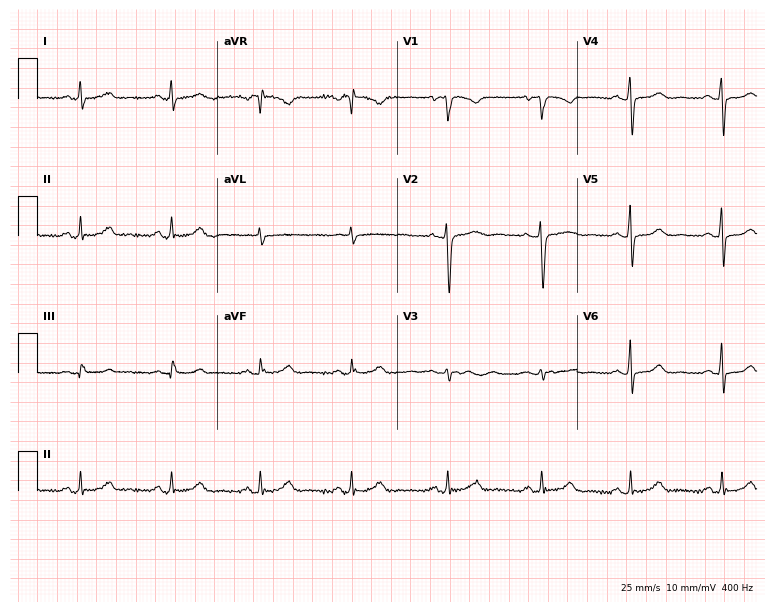
ECG (7.3-second recording at 400 Hz) — a 45-year-old female patient. Labelled as a normal ECG.